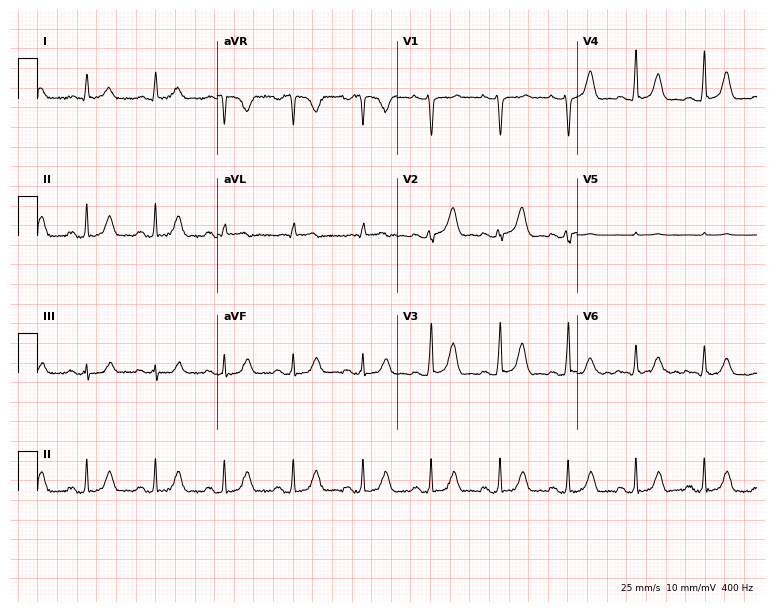
ECG (7.3-second recording at 400 Hz) — a female, 35 years old. Screened for six findings — first-degree AV block, right bundle branch block, left bundle branch block, sinus bradycardia, atrial fibrillation, sinus tachycardia — none is recorded.